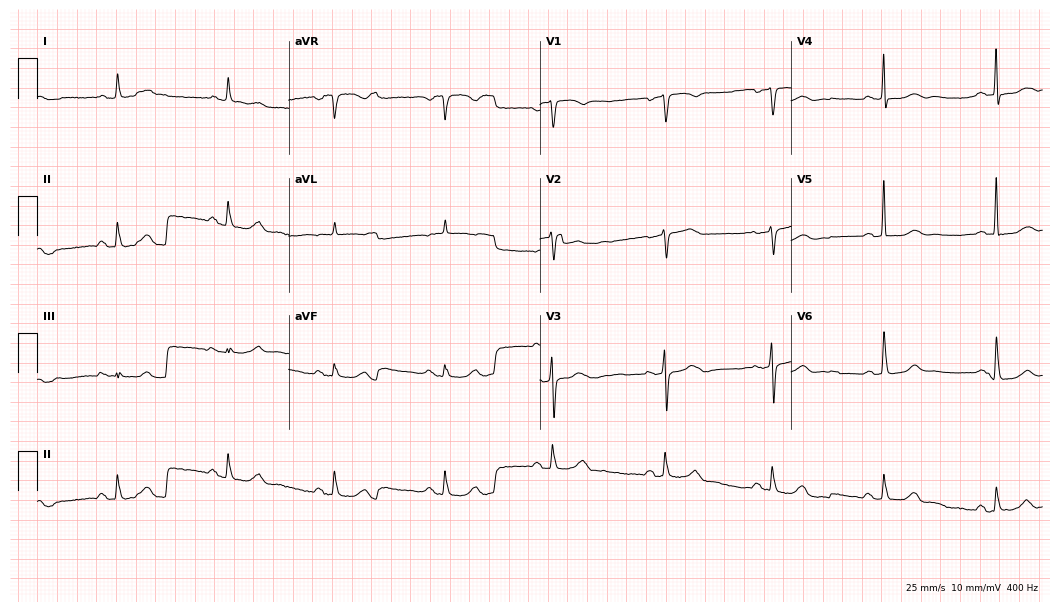
Resting 12-lead electrocardiogram (10.2-second recording at 400 Hz). Patient: a 77-year-old female. None of these six findings is recorded: first-degree AV block, right bundle branch block, left bundle branch block, sinus bradycardia, atrial fibrillation, sinus tachycardia. Other findings, if any, are not listed.